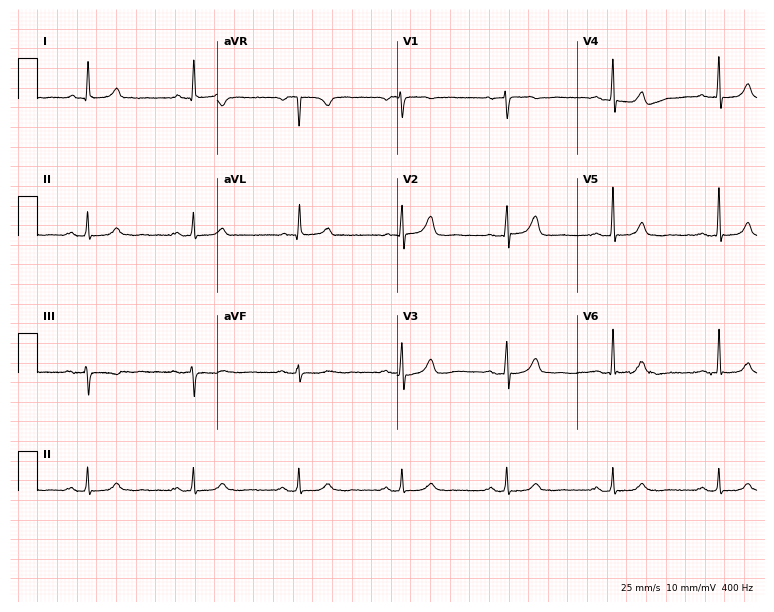
ECG (7.3-second recording at 400 Hz) — a 76-year-old female patient. Labelled as a normal ECG.